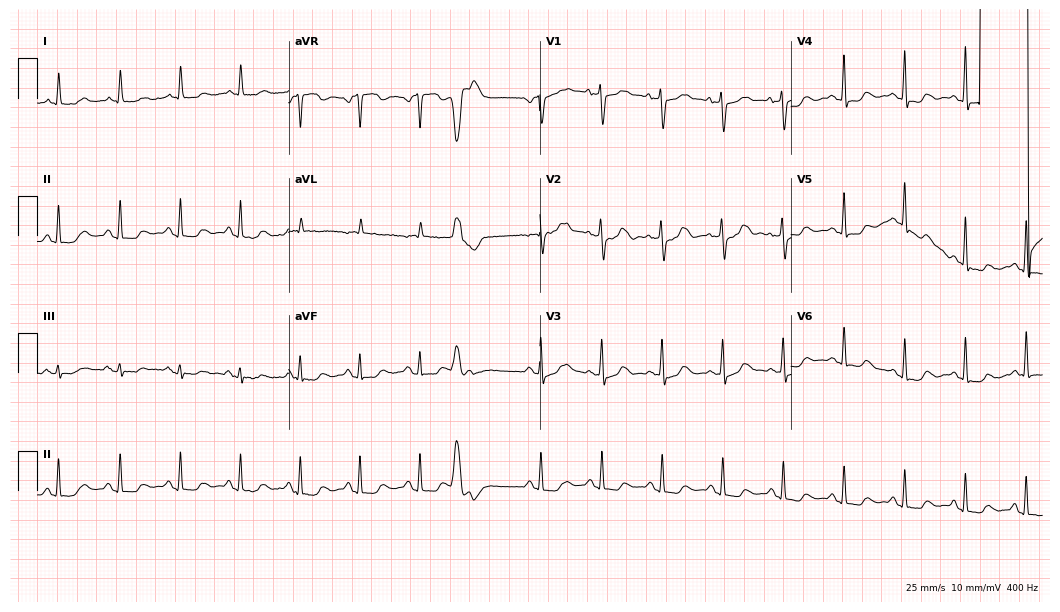
Electrocardiogram, a 74-year-old female patient. Of the six screened findings (first-degree AV block, right bundle branch block, left bundle branch block, sinus bradycardia, atrial fibrillation, sinus tachycardia), none is recorded. Other findings, if any, are not listed.